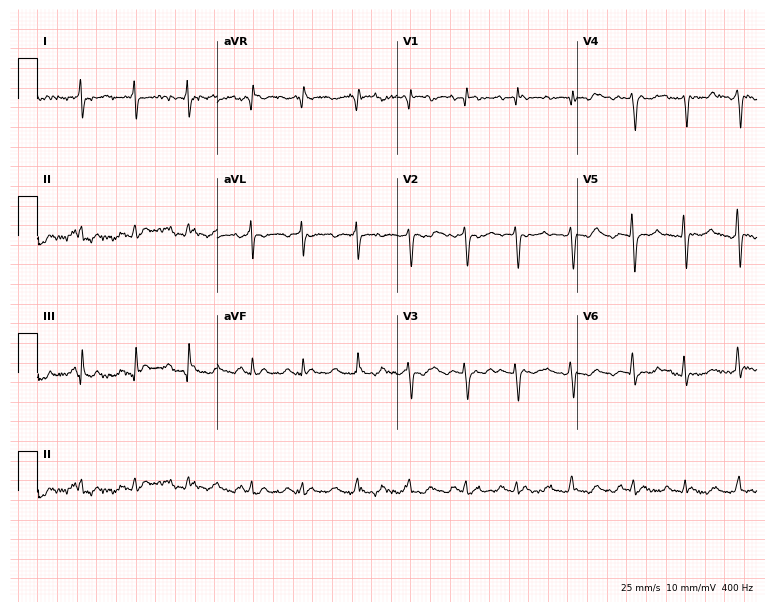
12-lead ECG from a man, 79 years old. No first-degree AV block, right bundle branch block, left bundle branch block, sinus bradycardia, atrial fibrillation or sinus tachycardia recorded for this tracing.